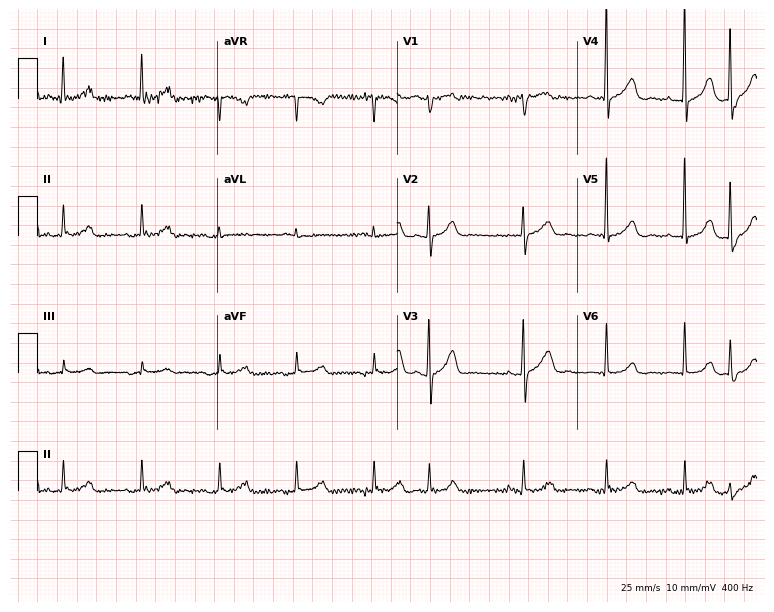
ECG — a man, 76 years old. Screened for six findings — first-degree AV block, right bundle branch block, left bundle branch block, sinus bradycardia, atrial fibrillation, sinus tachycardia — none is recorded. Findings outside these six are not listed.